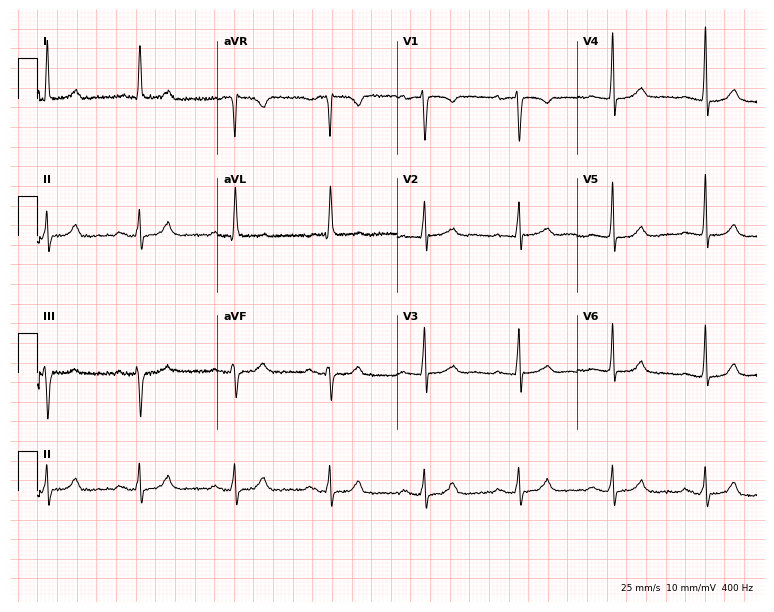
Electrocardiogram (7.3-second recording at 400 Hz), an 84-year-old female. Interpretation includes first-degree AV block.